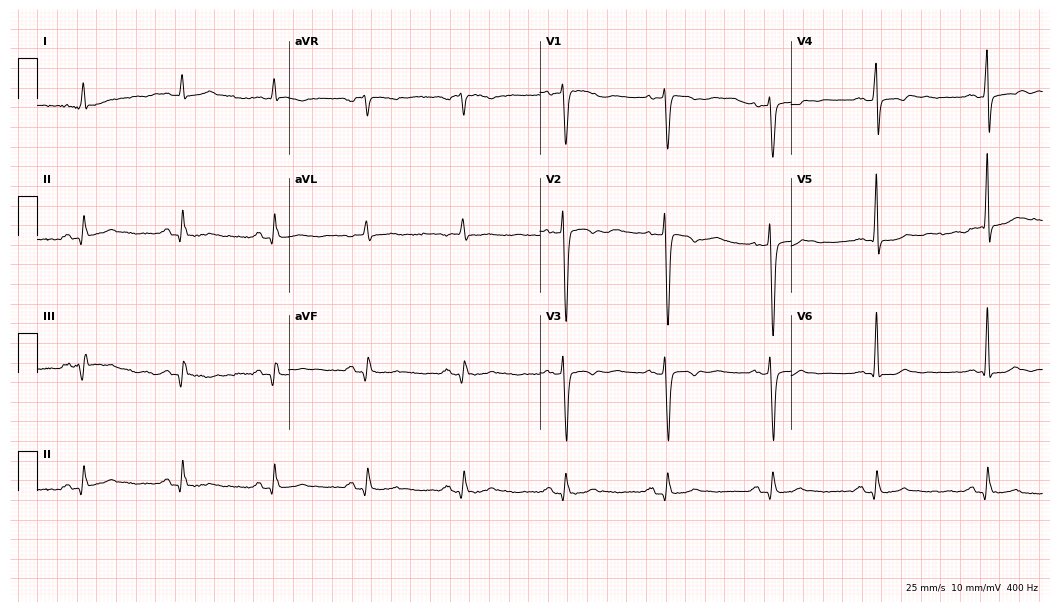
12-lead ECG from a man, 67 years old. No first-degree AV block, right bundle branch block (RBBB), left bundle branch block (LBBB), sinus bradycardia, atrial fibrillation (AF) or sinus tachycardia recorded for this tracing.